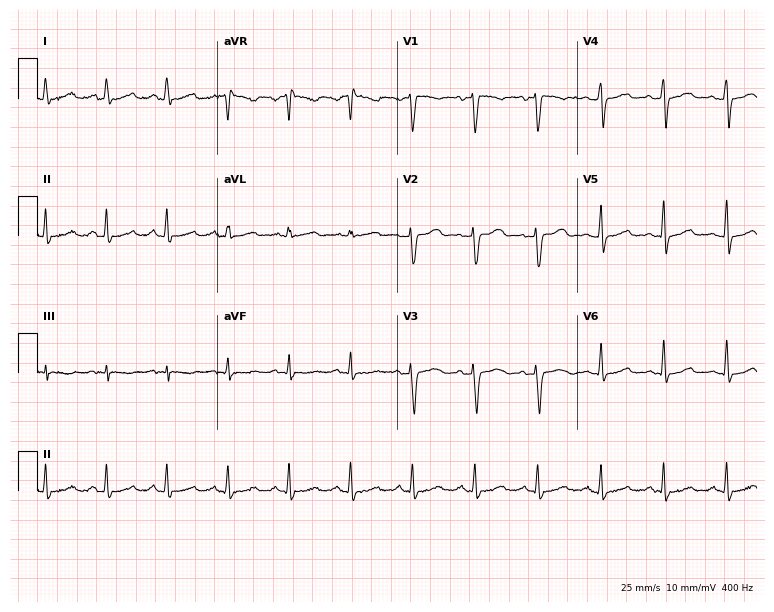
Standard 12-lead ECG recorded from a female, 48 years old. None of these six findings is recorded: first-degree AV block, right bundle branch block, left bundle branch block, sinus bradycardia, atrial fibrillation, sinus tachycardia.